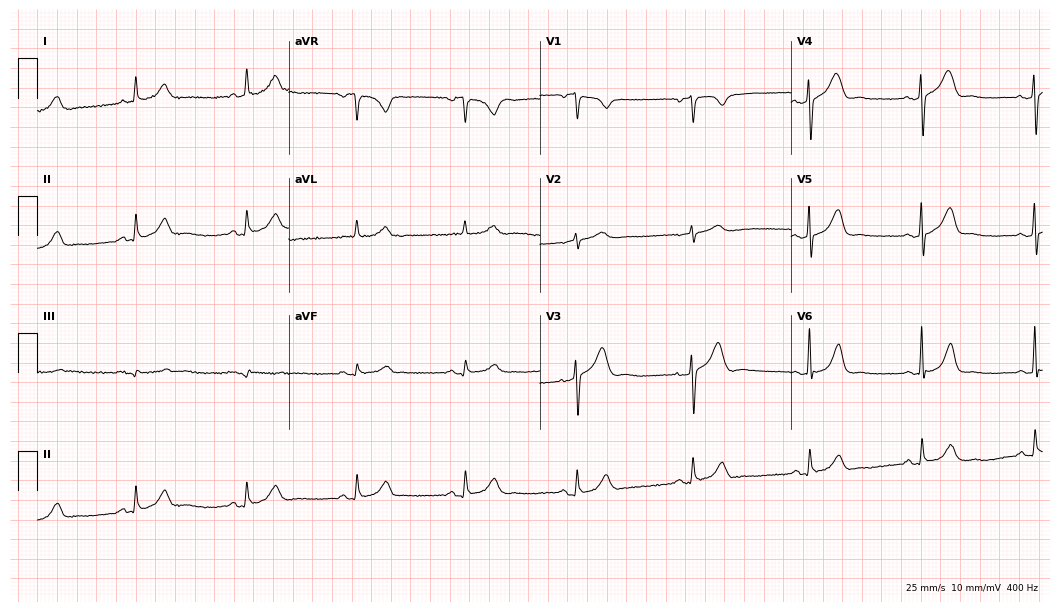
12-lead ECG from a 63-year-old female patient. Labelled as a normal ECG.